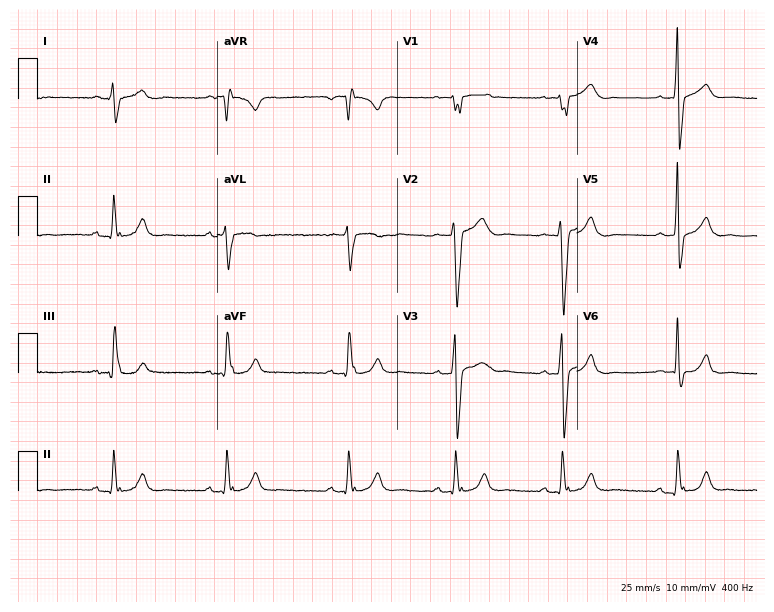
12-lead ECG from a 24-year-old man. No first-degree AV block, right bundle branch block (RBBB), left bundle branch block (LBBB), sinus bradycardia, atrial fibrillation (AF) or sinus tachycardia recorded for this tracing. Other findings, if any, are not listed.